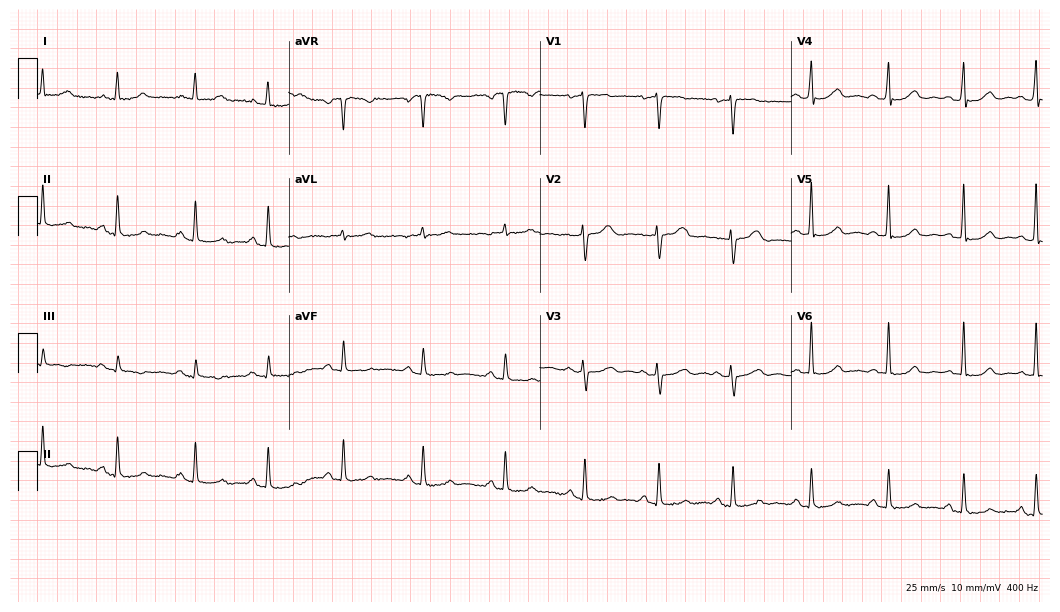
ECG (10.2-second recording at 400 Hz) — a 53-year-old female patient. Labelled as a normal ECG.